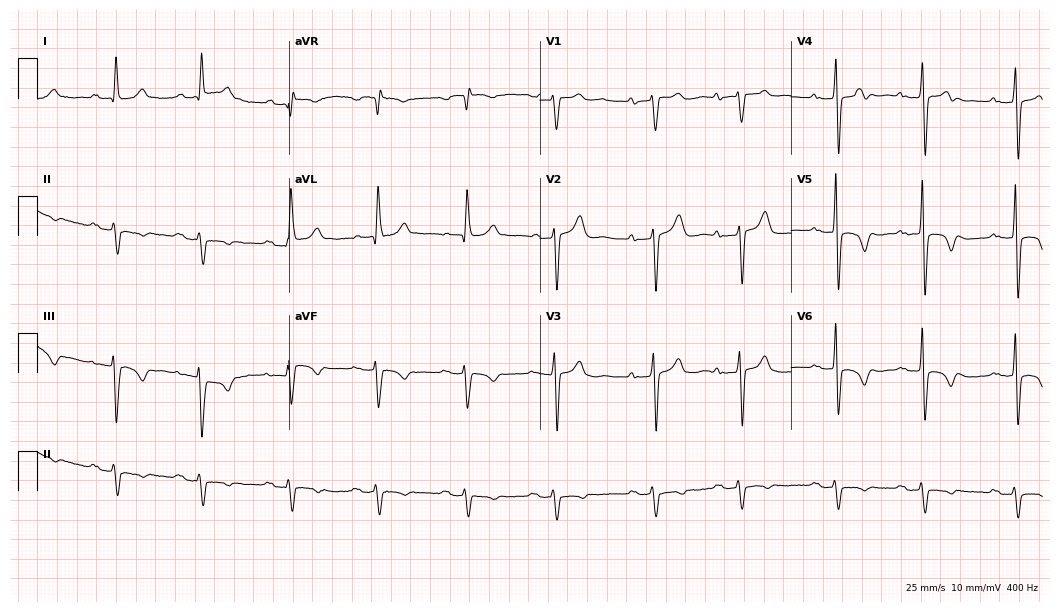
ECG — a male, 73 years old. Screened for six findings — first-degree AV block, right bundle branch block (RBBB), left bundle branch block (LBBB), sinus bradycardia, atrial fibrillation (AF), sinus tachycardia — none is recorded.